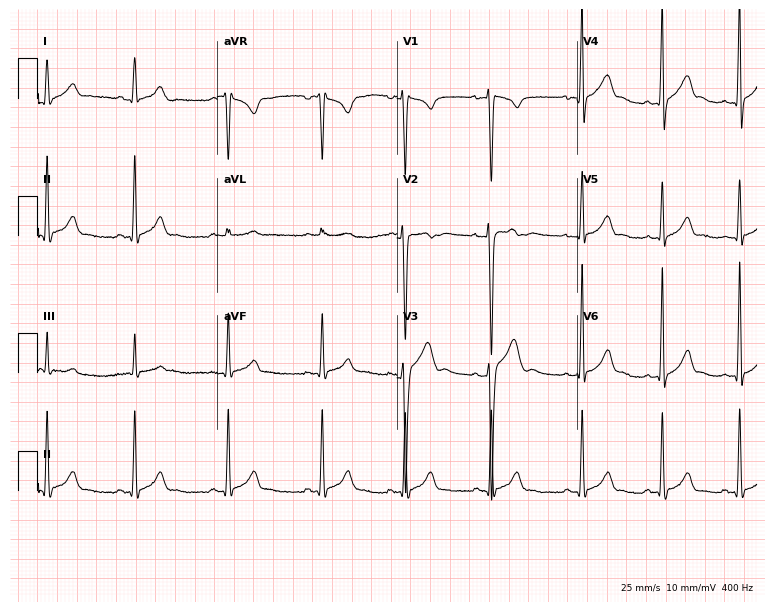
Electrocardiogram, a male patient, 19 years old. Of the six screened findings (first-degree AV block, right bundle branch block, left bundle branch block, sinus bradycardia, atrial fibrillation, sinus tachycardia), none is recorded.